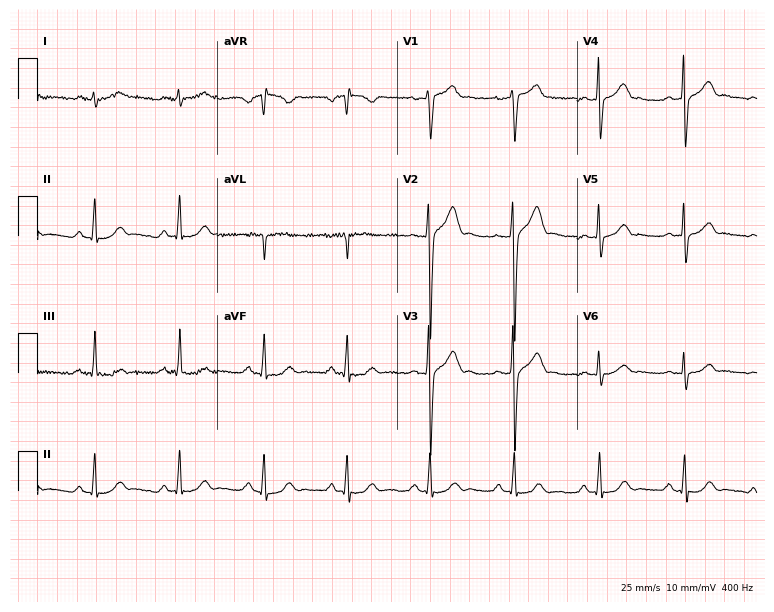
Resting 12-lead electrocardiogram (7.3-second recording at 400 Hz). Patient: a man, 38 years old. Read as a normal ECG.